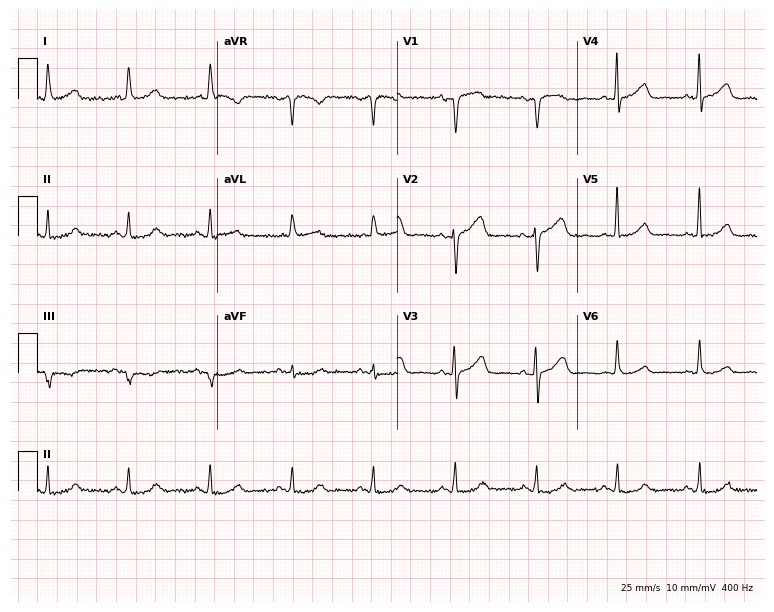
12-lead ECG (7.3-second recording at 400 Hz) from a 75-year-old female patient. Screened for six findings — first-degree AV block, right bundle branch block, left bundle branch block, sinus bradycardia, atrial fibrillation, sinus tachycardia — none is recorded.